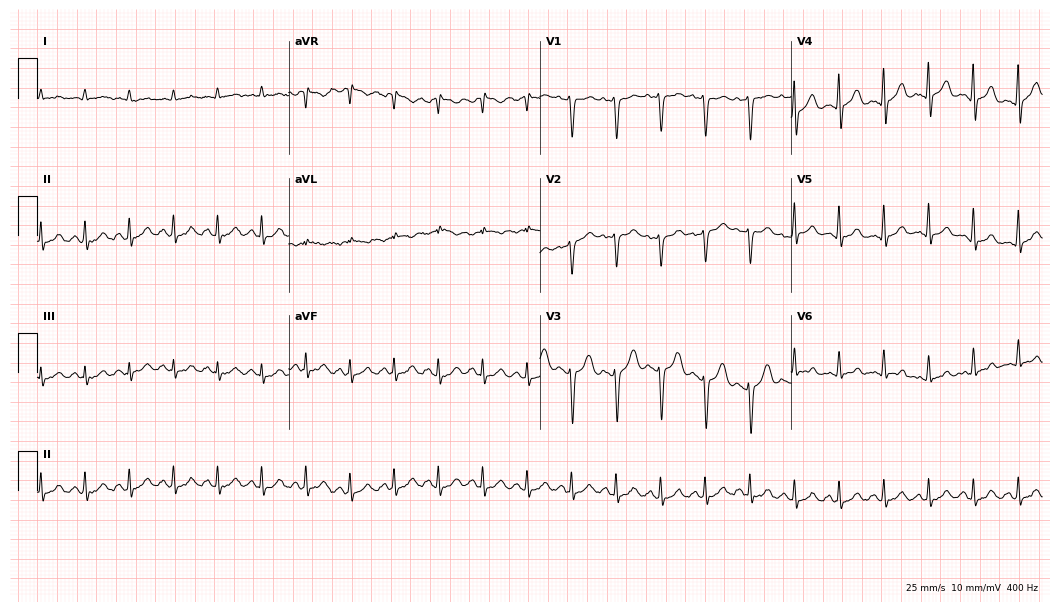
ECG (10.2-second recording at 400 Hz) — a 40-year-old man. Screened for six findings — first-degree AV block, right bundle branch block, left bundle branch block, sinus bradycardia, atrial fibrillation, sinus tachycardia — none is recorded. Only these six findings were labelled.